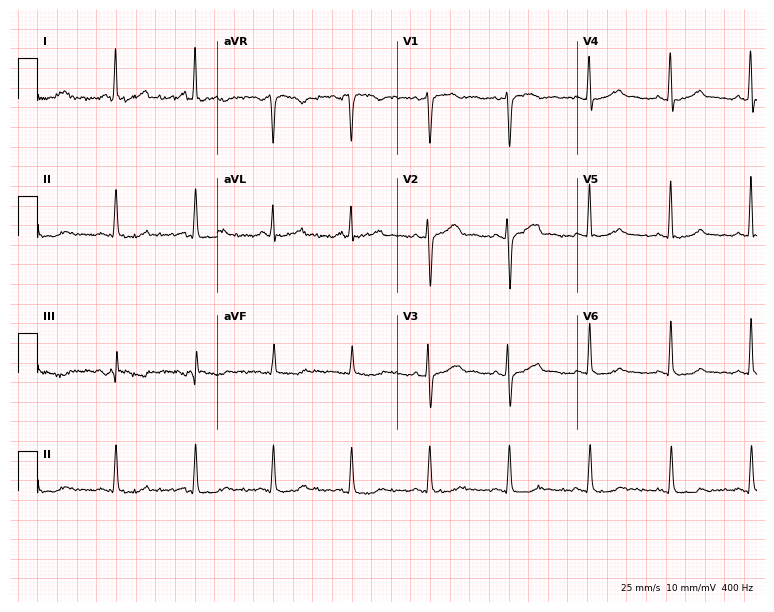
ECG (7.3-second recording at 400 Hz) — a 57-year-old female. Screened for six findings — first-degree AV block, right bundle branch block, left bundle branch block, sinus bradycardia, atrial fibrillation, sinus tachycardia — none is recorded. Other findings, if any, are not listed.